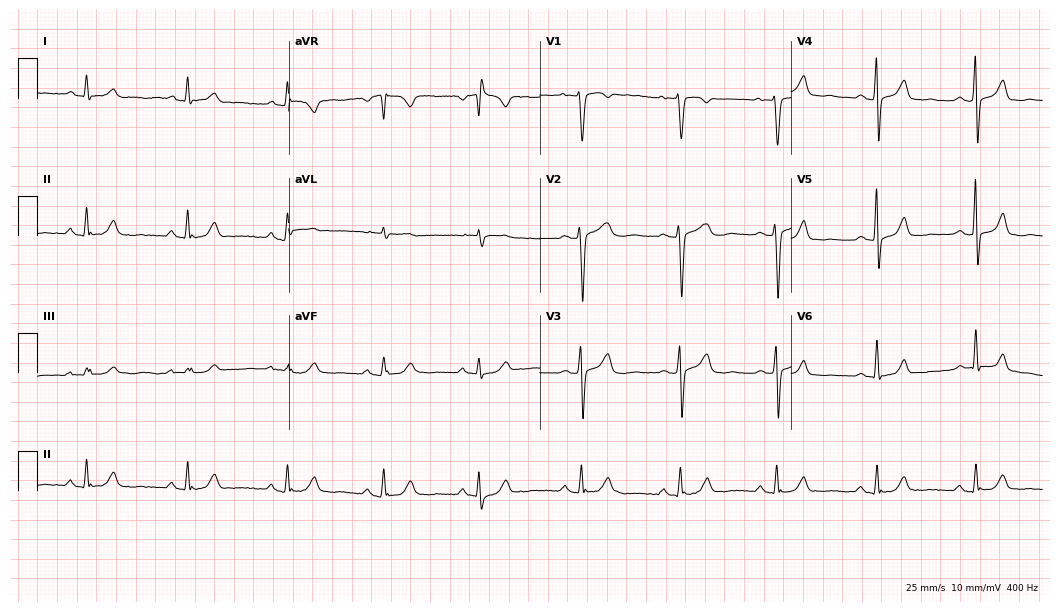
12-lead ECG (10.2-second recording at 400 Hz) from a 39-year-old female. Screened for six findings — first-degree AV block, right bundle branch block (RBBB), left bundle branch block (LBBB), sinus bradycardia, atrial fibrillation (AF), sinus tachycardia — none is recorded. Only these six findings were labelled.